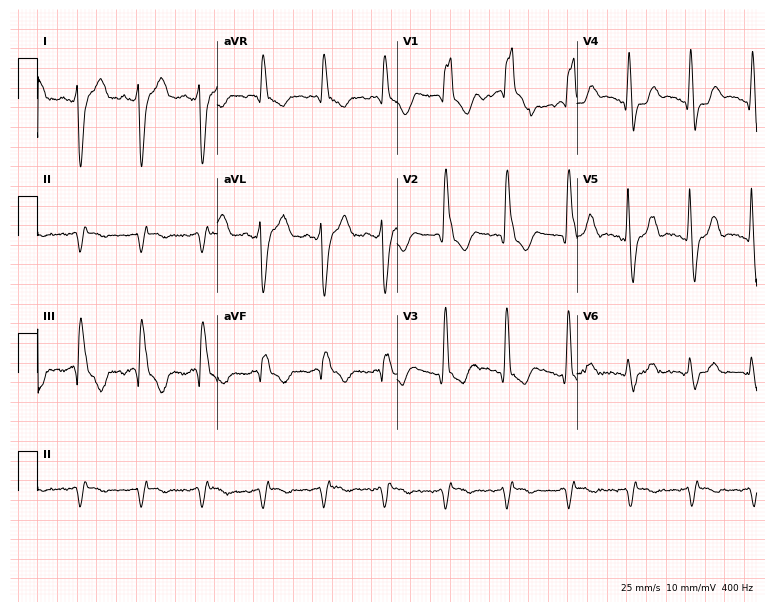
Standard 12-lead ECG recorded from a male, 81 years old (7.3-second recording at 400 Hz). None of these six findings is recorded: first-degree AV block, right bundle branch block (RBBB), left bundle branch block (LBBB), sinus bradycardia, atrial fibrillation (AF), sinus tachycardia. Other findings, if any, are not listed.